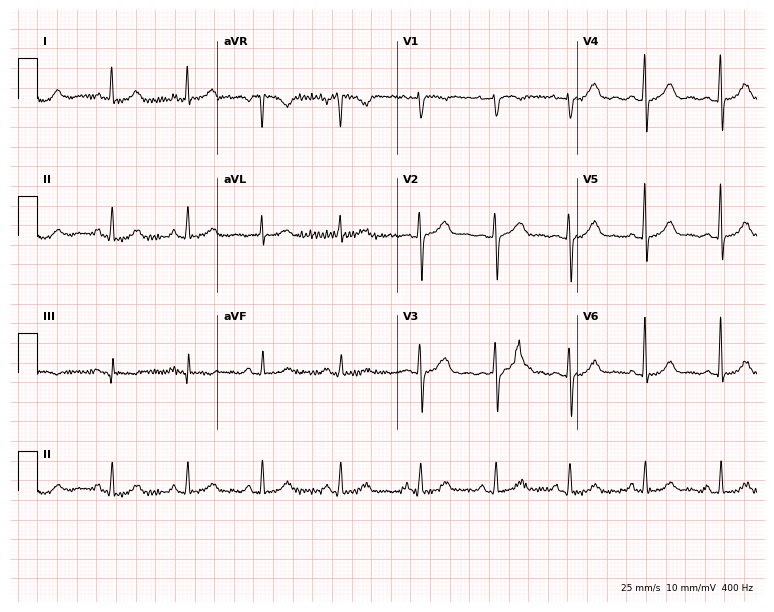
12-lead ECG from a 42-year-old woman. Labelled as a normal ECG.